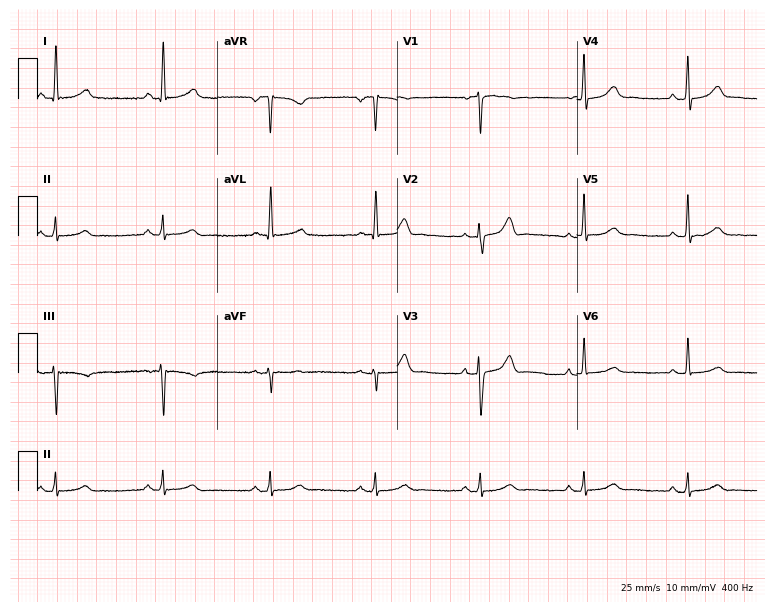
ECG (7.3-second recording at 400 Hz) — a male patient, 57 years old. Screened for six findings — first-degree AV block, right bundle branch block, left bundle branch block, sinus bradycardia, atrial fibrillation, sinus tachycardia — none is recorded.